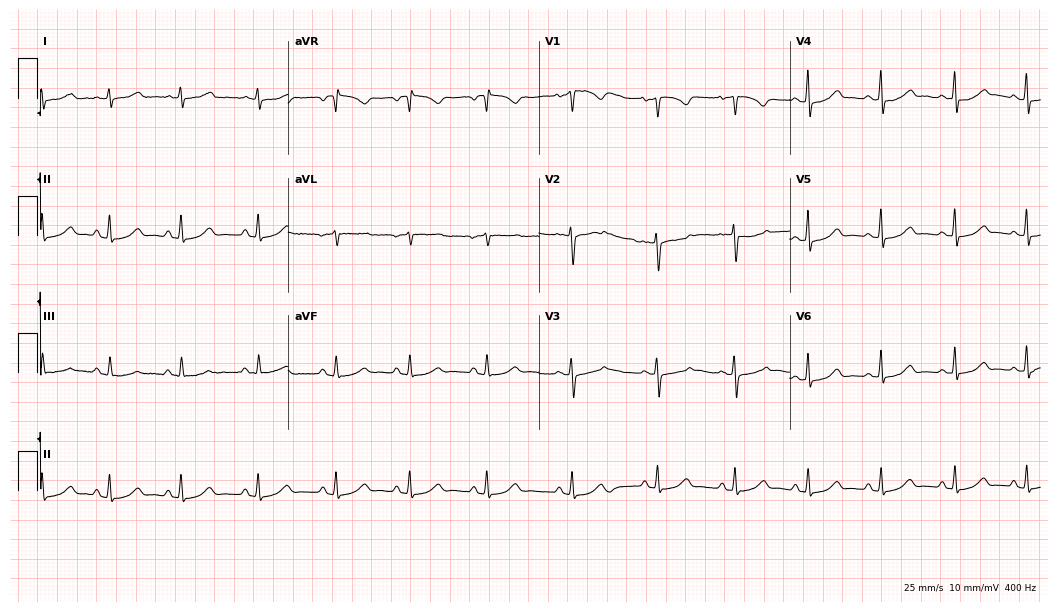
Resting 12-lead electrocardiogram. Patient: a 31-year-old female. Read as a normal ECG.